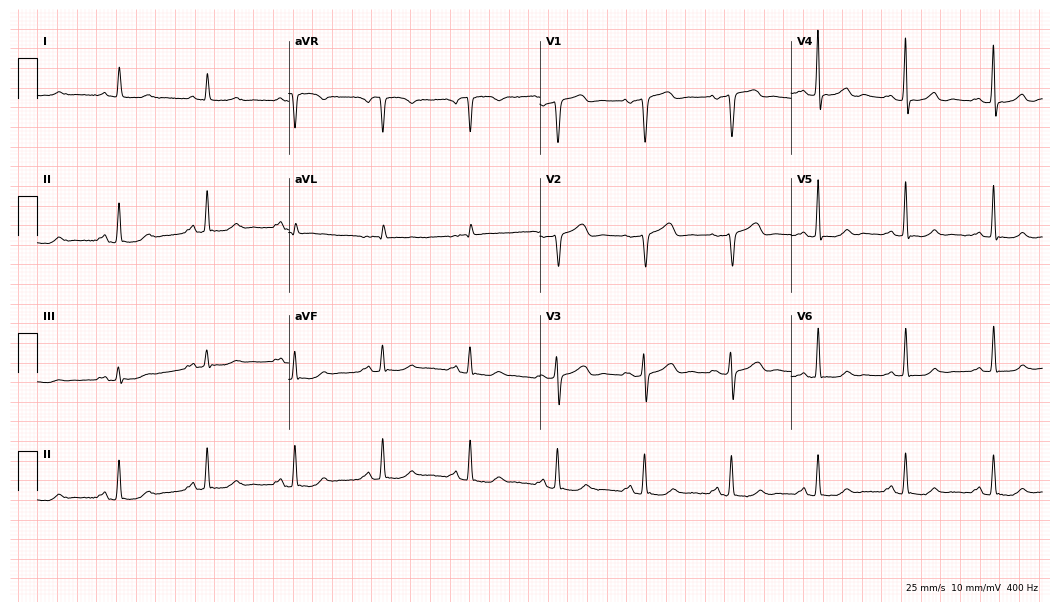
Resting 12-lead electrocardiogram. Patient: a female, 85 years old. None of these six findings is recorded: first-degree AV block, right bundle branch block, left bundle branch block, sinus bradycardia, atrial fibrillation, sinus tachycardia.